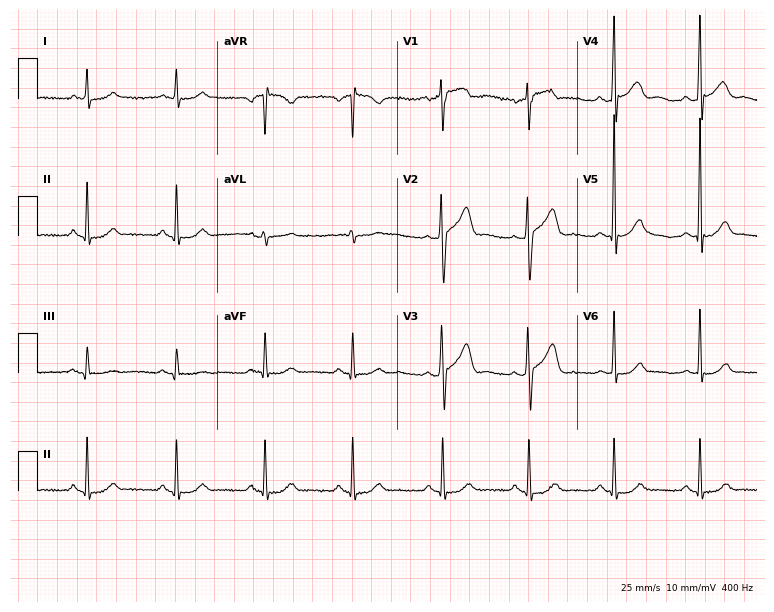
Resting 12-lead electrocardiogram. Patient: a male, 69 years old. None of these six findings is recorded: first-degree AV block, right bundle branch block, left bundle branch block, sinus bradycardia, atrial fibrillation, sinus tachycardia. Other findings, if any, are not listed.